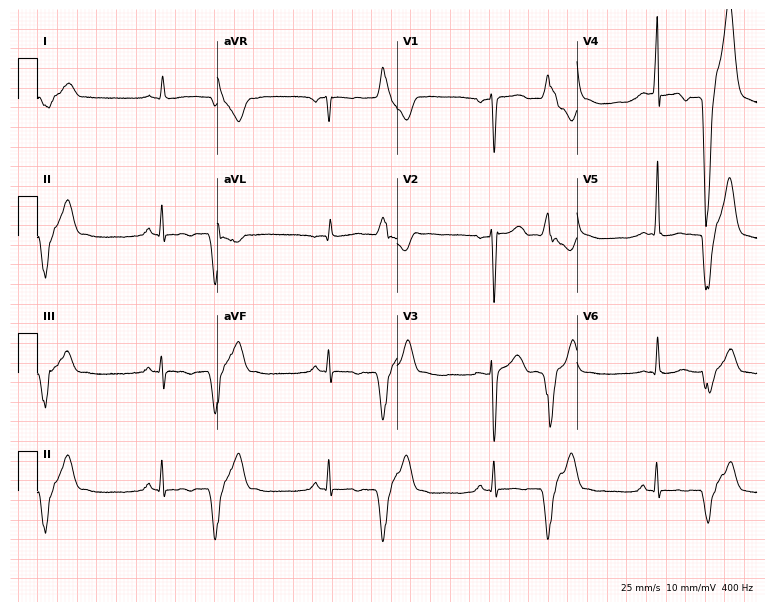
Resting 12-lead electrocardiogram (7.3-second recording at 400 Hz). Patient: a 41-year-old male. Read as a normal ECG.